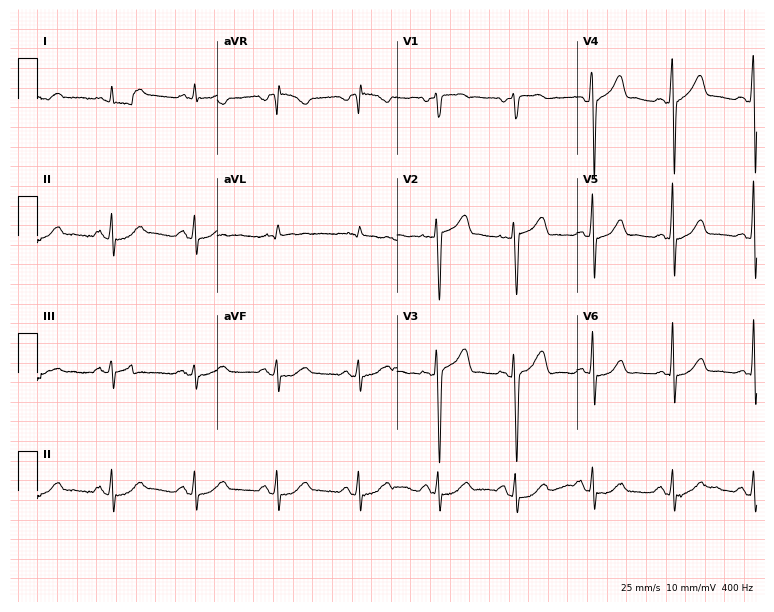
ECG (7.3-second recording at 400 Hz) — a man, 53 years old. Screened for six findings — first-degree AV block, right bundle branch block (RBBB), left bundle branch block (LBBB), sinus bradycardia, atrial fibrillation (AF), sinus tachycardia — none is recorded.